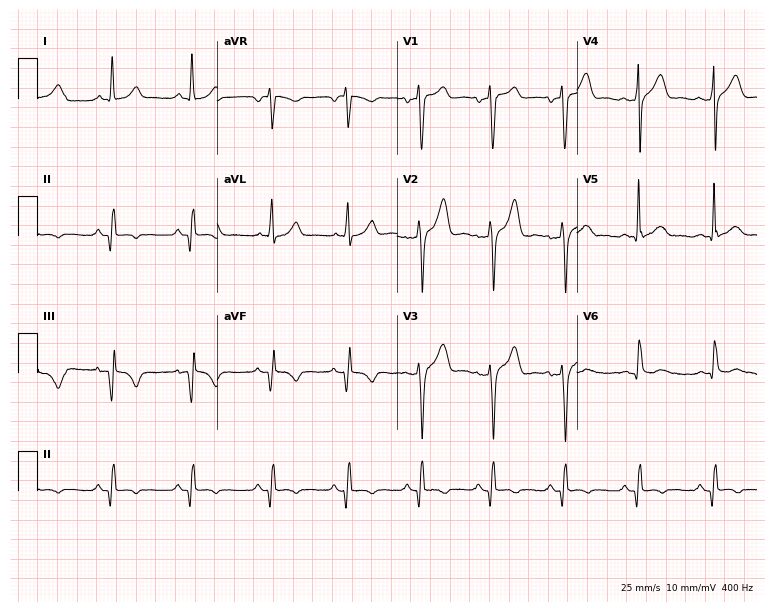
12-lead ECG (7.3-second recording at 400 Hz) from a 45-year-old male patient. Screened for six findings — first-degree AV block, right bundle branch block (RBBB), left bundle branch block (LBBB), sinus bradycardia, atrial fibrillation (AF), sinus tachycardia — none is recorded. Findings outside these six are not listed.